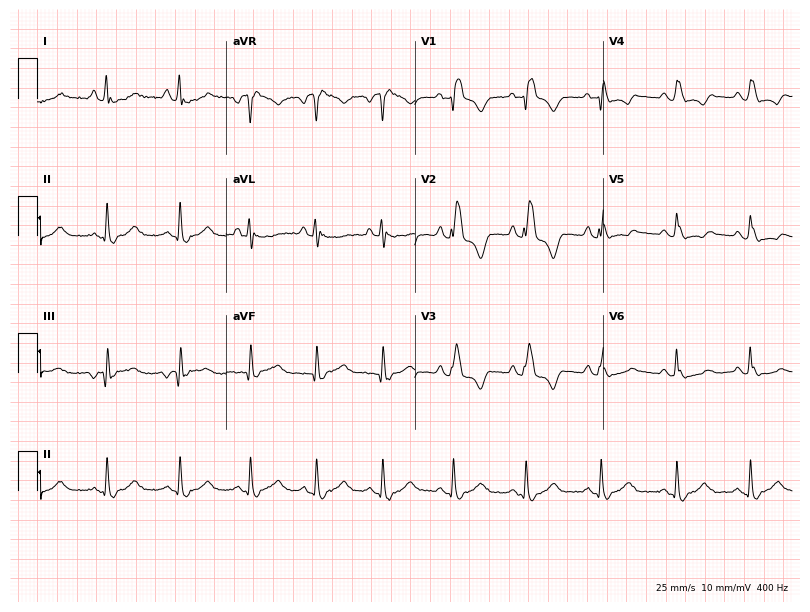
Electrocardiogram, a 20-year-old woman. Interpretation includes right bundle branch block (RBBB).